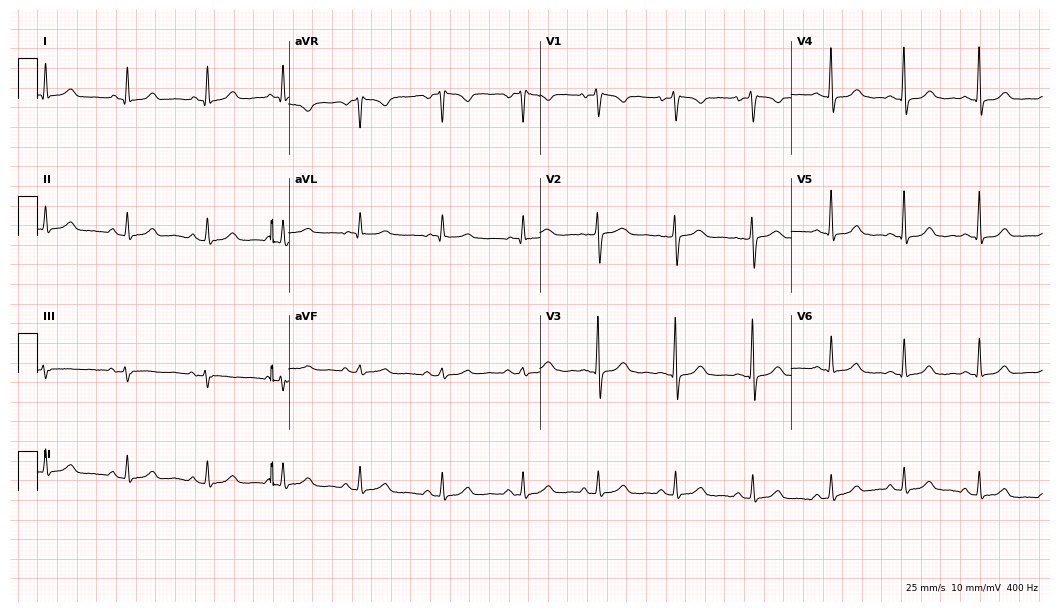
Standard 12-lead ECG recorded from a woman, 42 years old. None of these six findings is recorded: first-degree AV block, right bundle branch block (RBBB), left bundle branch block (LBBB), sinus bradycardia, atrial fibrillation (AF), sinus tachycardia.